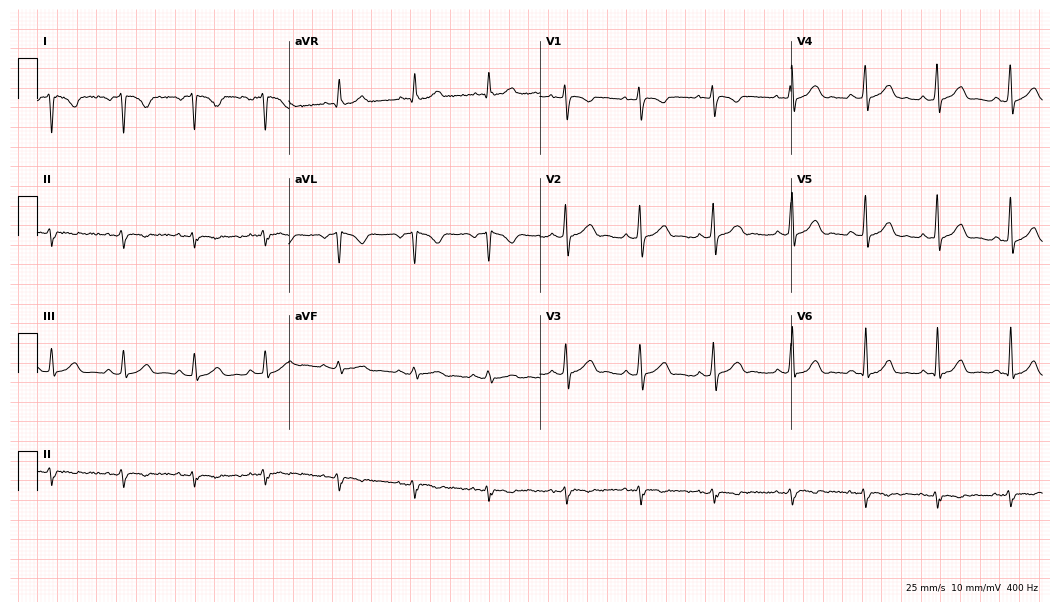
Electrocardiogram (10.2-second recording at 400 Hz), a 29-year-old female. Of the six screened findings (first-degree AV block, right bundle branch block, left bundle branch block, sinus bradycardia, atrial fibrillation, sinus tachycardia), none is recorded.